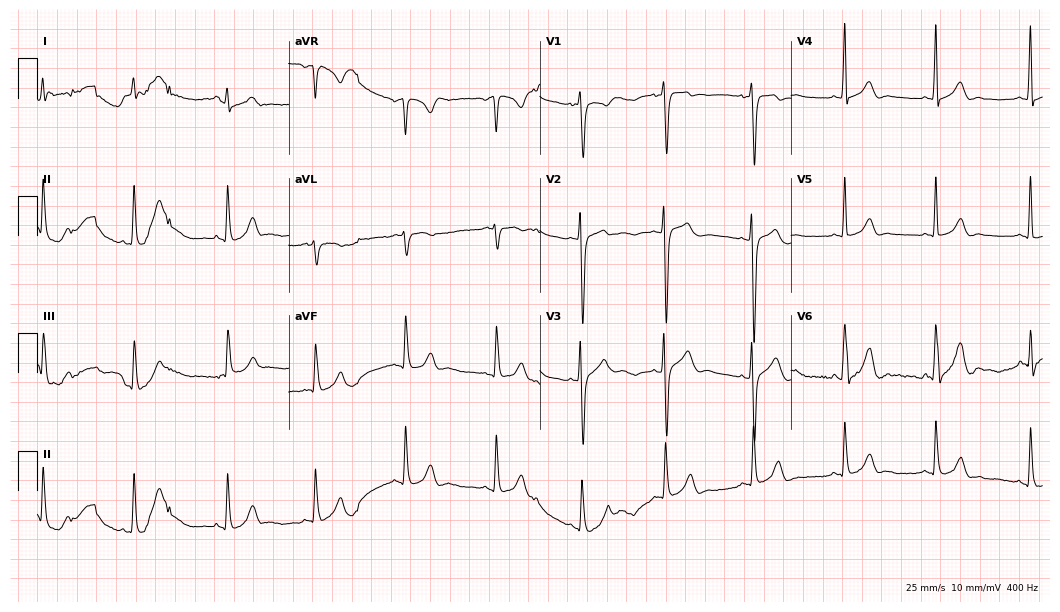
12-lead ECG (10.2-second recording at 400 Hz) from a man, 27 years old. Labelled as a normal ECG.